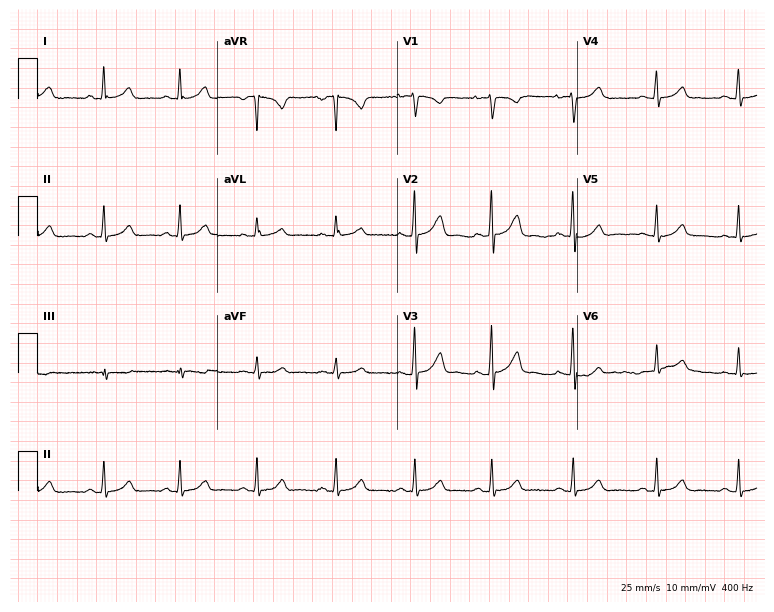
Resting 12-lead electrocardiogram. Patient: a female, 28 years old. Read as a normal ECG.